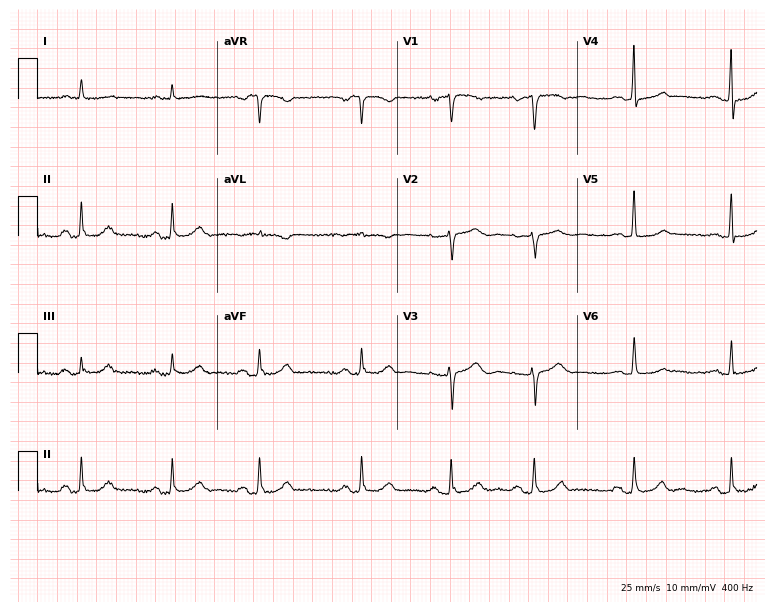
12-lead ECG from a 57-year-old woman (7.3-second recording at 400 Hz). Recorded interpretation: within normal limits.